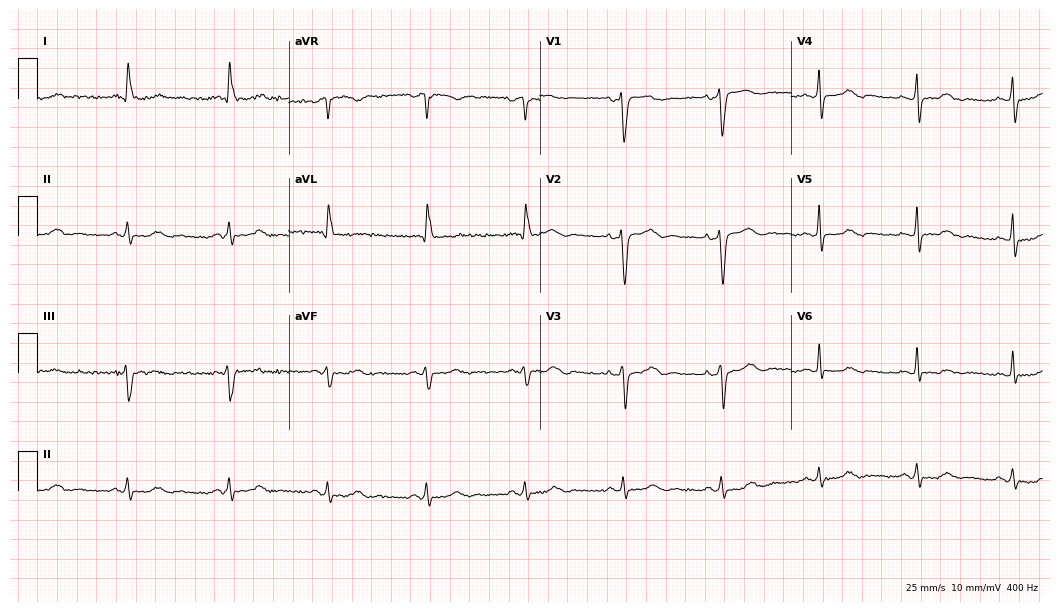
Electrocardiogram, a female, 74 years old. Of the six screened findings (first-degree AV block, right bundle branch block (RBBB), left bundle branch block (LBBB), sinus bradycardia, atrial fibrillation (AF), sinus tachycardia), none is recorded. Only these six findings were labelled.